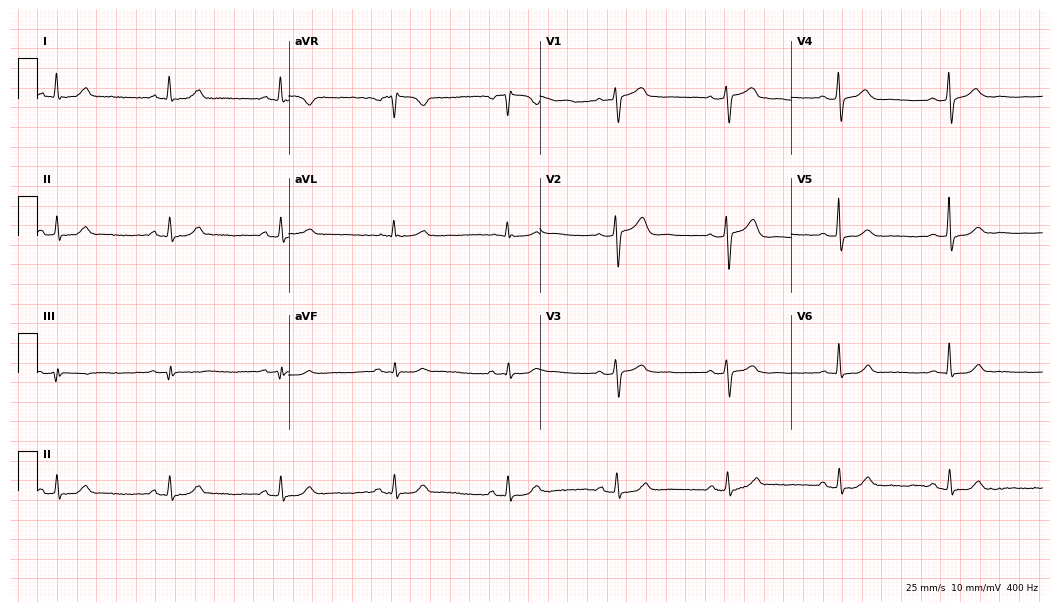
ECG (10.2-second recording at 400 Hz) — a 58-year-old woman. Labelled as a normal ECG.